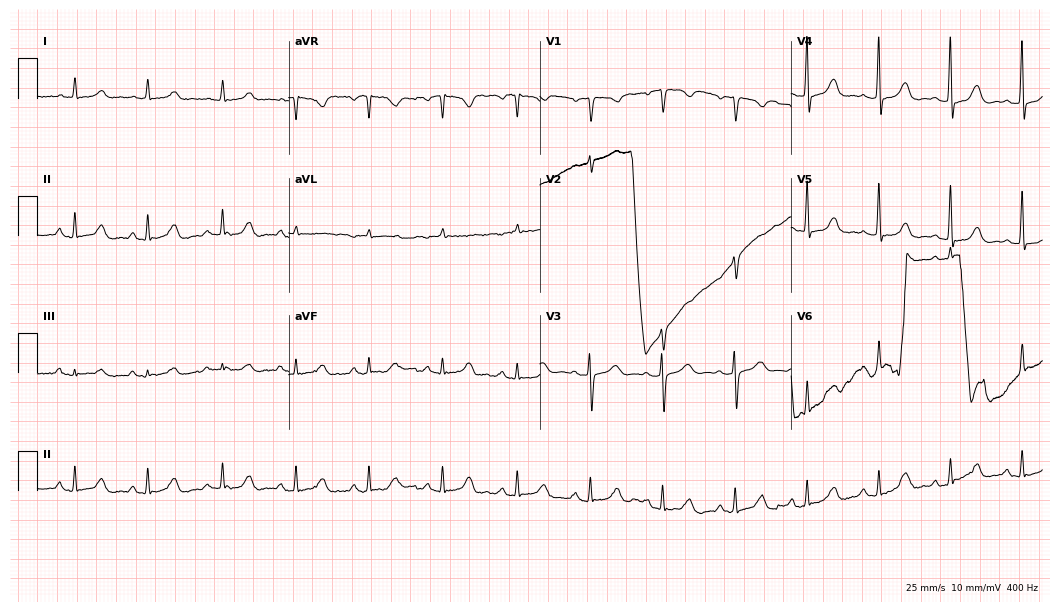
Resting 12-lead electrocardiogram (10.2-second recording at 400 Hz). Patient: a 77-year-old woman. Read as a normal ECG.